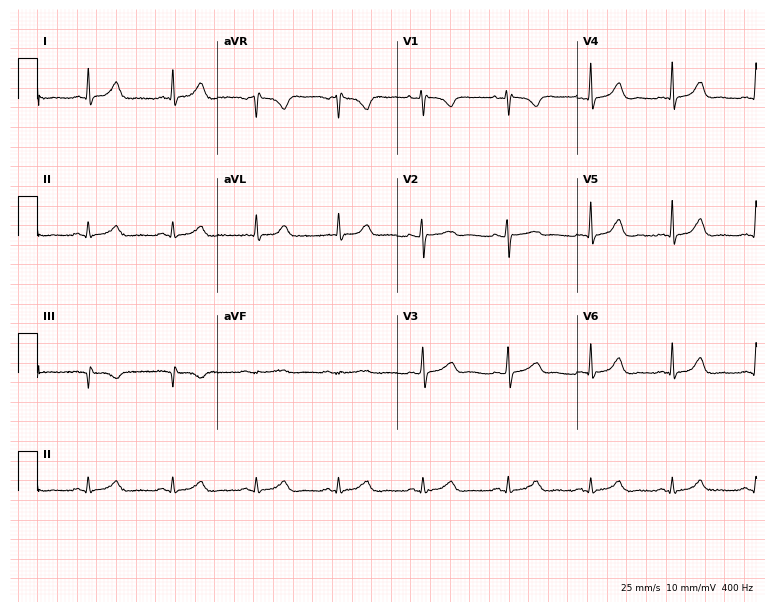
12-lead ECG from a 29-year-old female. Labelled as a normal ECG.